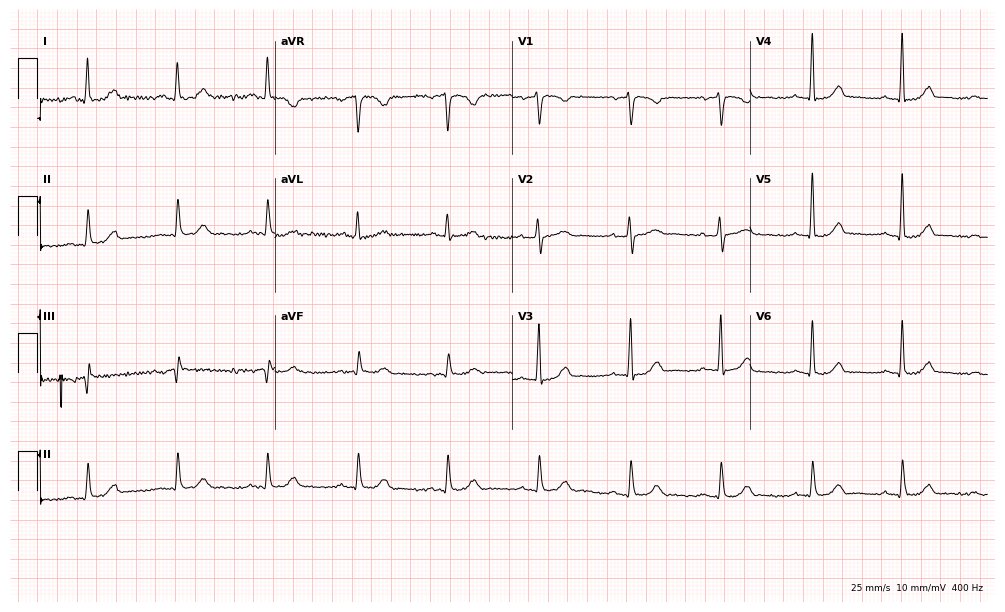
ECG — a female, 59 years old. Labelled as a normal ECG.